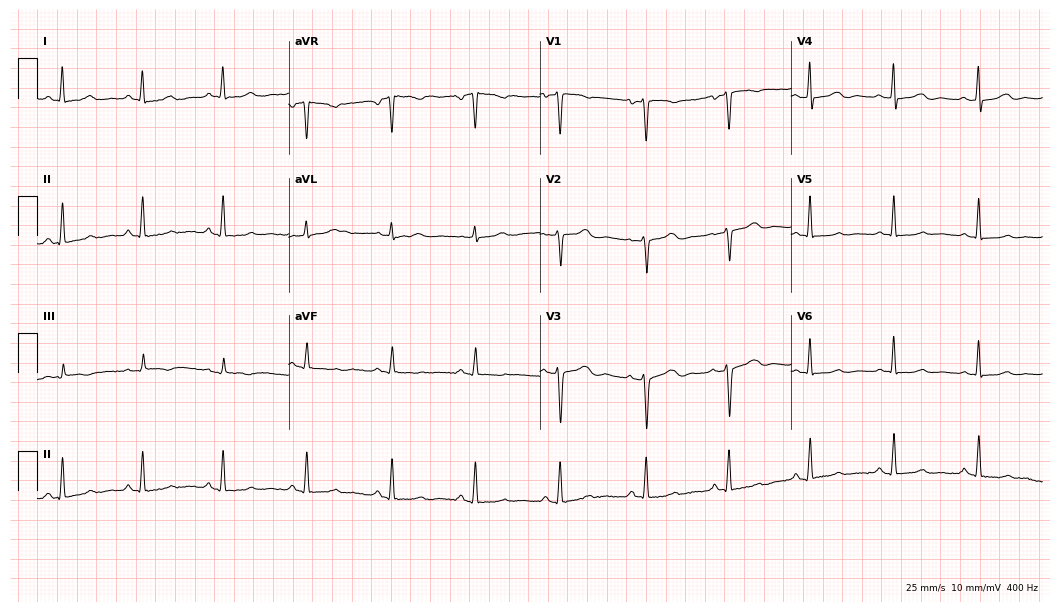
Electrocardiogram (10.2-second recording at 400 Hz), a female patient, 36 years old. Overall reading on record: normal ECG.